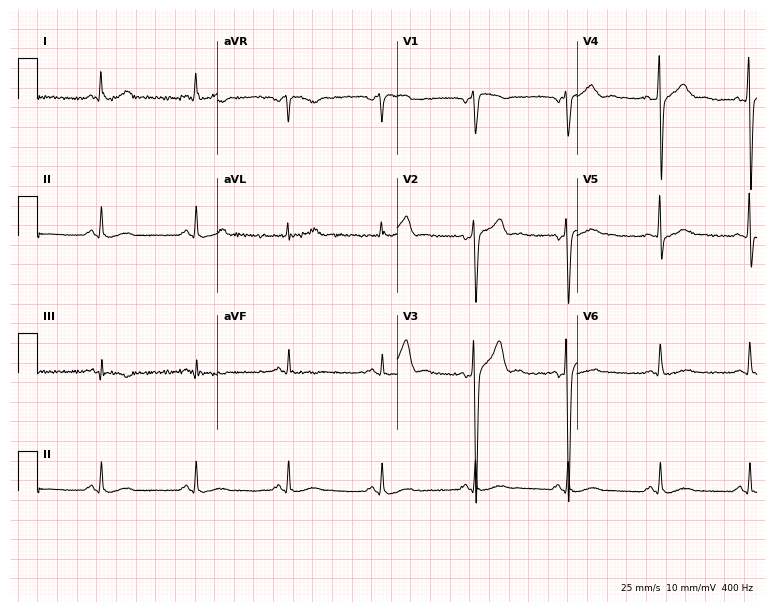
12-lead ECG from a 53-year-old male patient (7.3-second recording at 400 Hz). No first-degree AV block, right bundle branch block, left bundle branch block, sinus bradycardia, atrial fibrillation or sinus tachycardia recorded for this tracing.